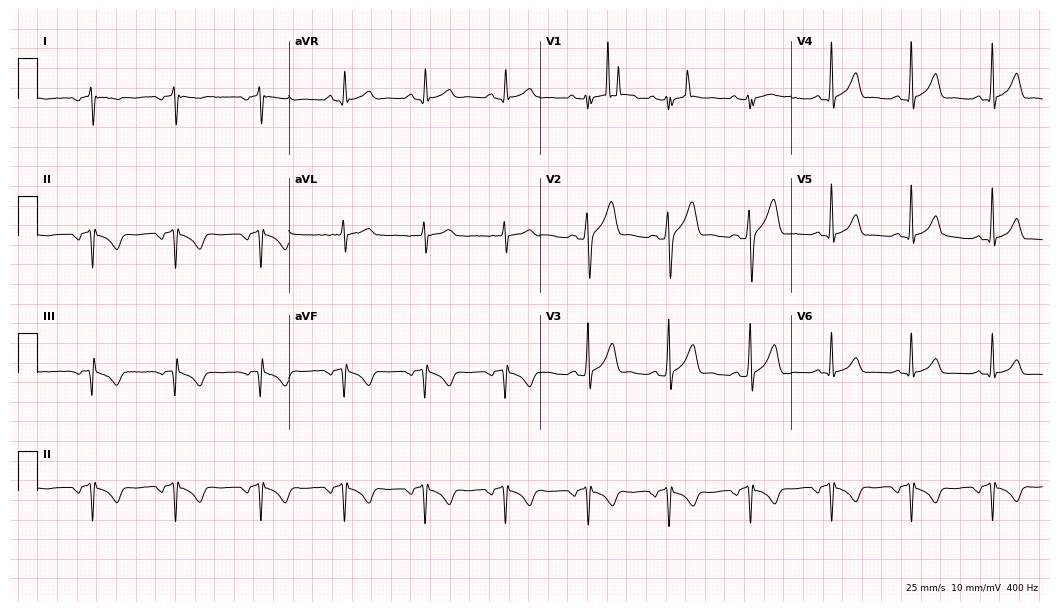
Resting 12-lead electrocardiogram (10.2-second recording at 400 Hz). Patient: a 25-year-old male. None of these six findings is recorded: first-degree AV block, right bundle branch block, left bundle branch block, sinus bradycardia, atrial fibrillation, sinus tachycardia.